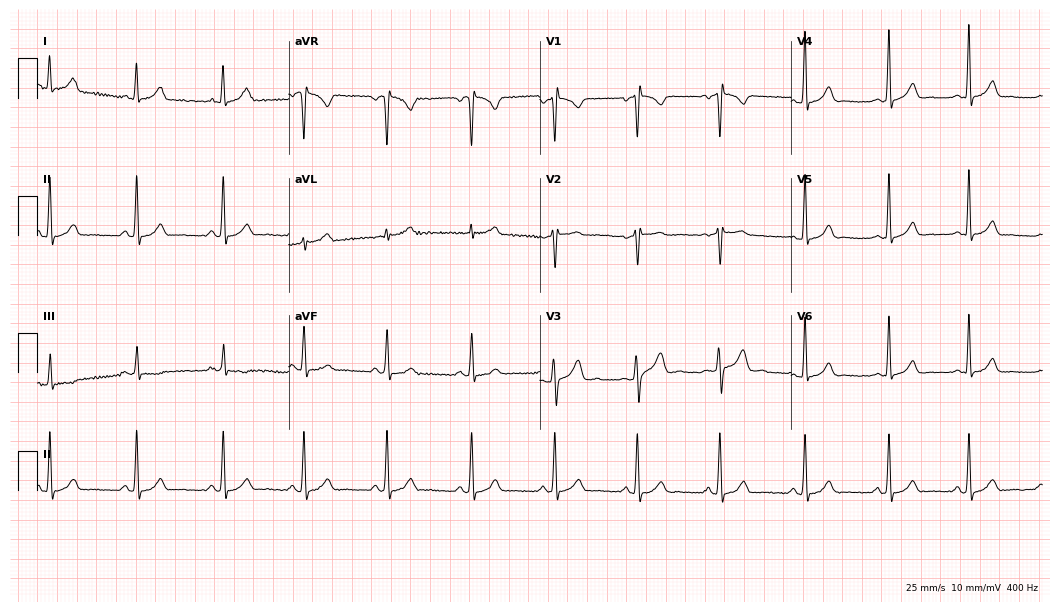
12-lead ECG from a female, 25 years old. Screened for six findings — first-degree AV block, right bundle branch block, left bundle branch block, sinus bradycardia, atrial fibrillation, sinus tachycardia — none is recorded.